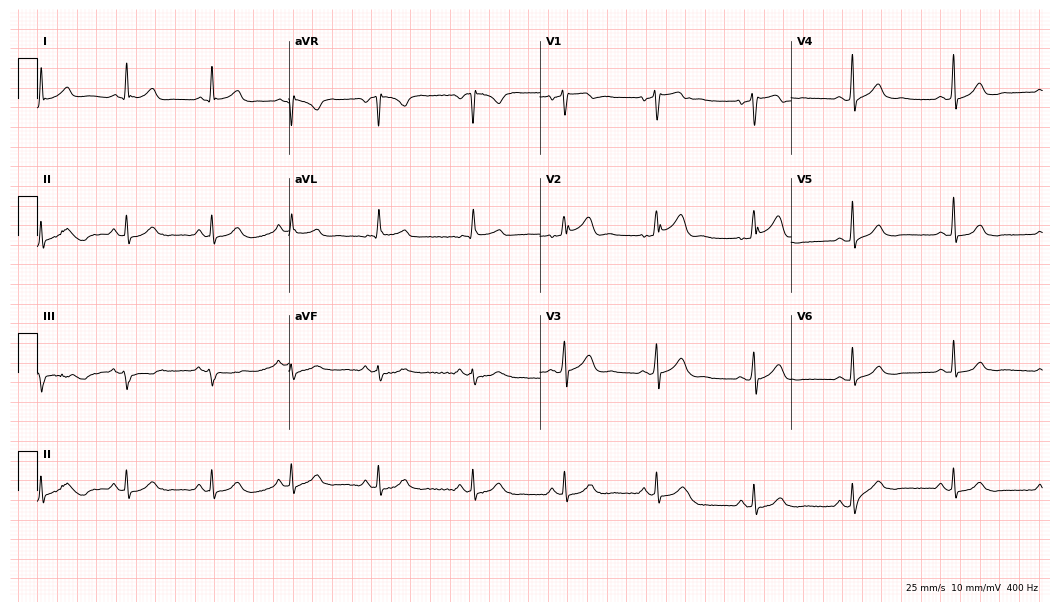
12-lead ECG from a male, 54 years old. Screened for six findings — first-degree AV block, right bundle branch block, left bundle branch block, sinus bradycardia, atrial fibrillation, sinus tachycardia — none is recorded. Findings outside these six are not listed.